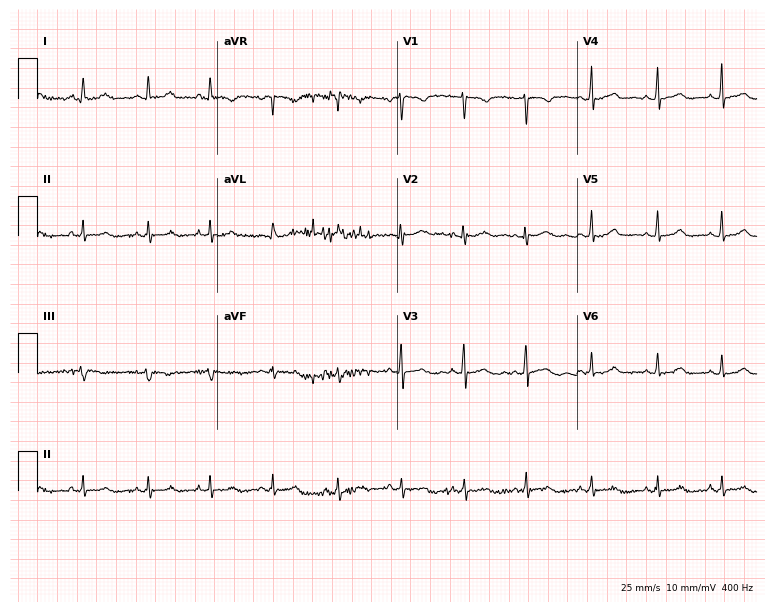
ECG (7.3-second recording at 400 Hz) — a woman, 33 years old. Labelled as a normal ECG.